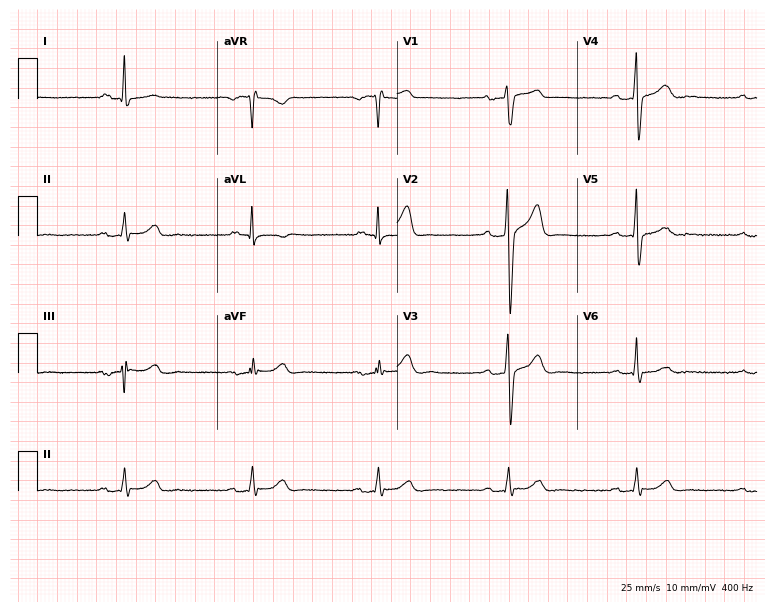
Resting 12-lead electrocardiogram (7.3-second recording at 400 Hz). Patient: a male, 56 years old. The tracing shows first-degree AV block, sinus bradycardia (a sinus rate of 50 beats per minute or less).